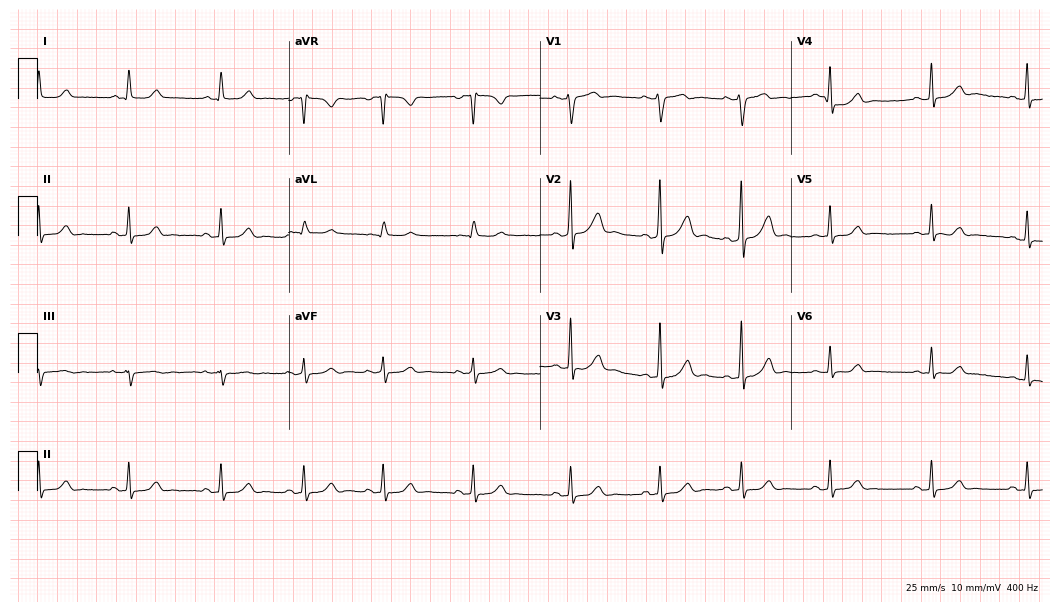
12-lead ECG (10.2-second recording at 400 Hz) from a female patient, 26 years old. Screened for six findings — first-degree AV block, right bundle branch block, left bundle branch block, sinus bradycardia, atrial fibrillation, sinus tachycardia — none is recorded. Other findings, if any, are not listed.